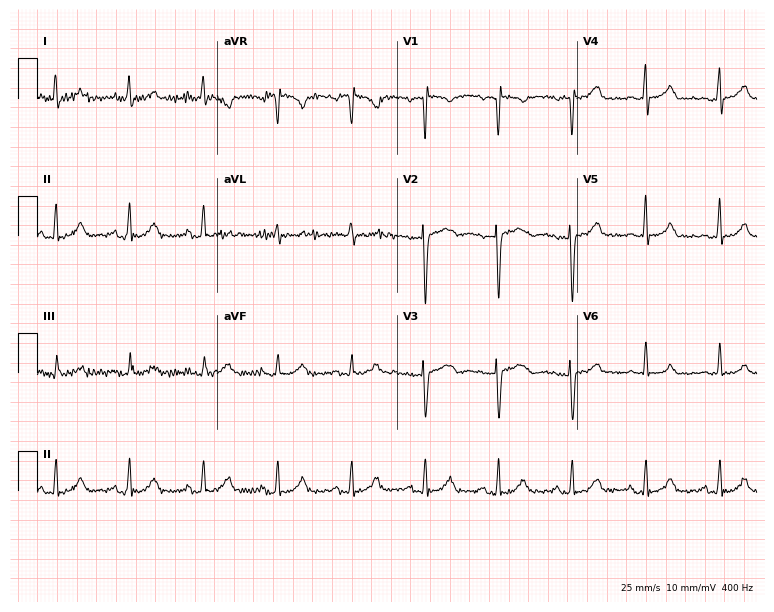
Electrocardiogram, a 53-year-old female. Of the six screened findings (first-degree AV block, right bundle branch block (RBBB), left bundle branch block (LBBB), sinus bradycardia, atrial fibrillation (AF), sinus tachycardia), none is recorded. Other findings, if any, are not listed.